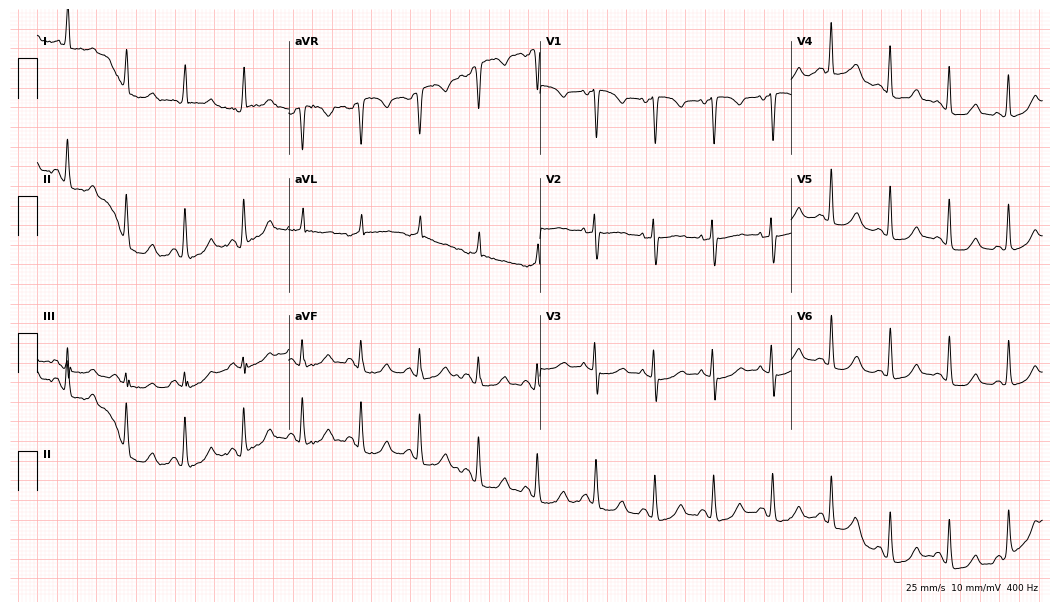
Resting 12-lead electrocardiogram (10.2-second recording at 400 Hz). Patient: an 82-year-old woman. None of these six findings is recorded: first-degree AV block, right bundle branch block, left bundle branch block, sinus bradycardia, atrial fibrillation, sinus tachycardia. Findings outside these six are not listed.